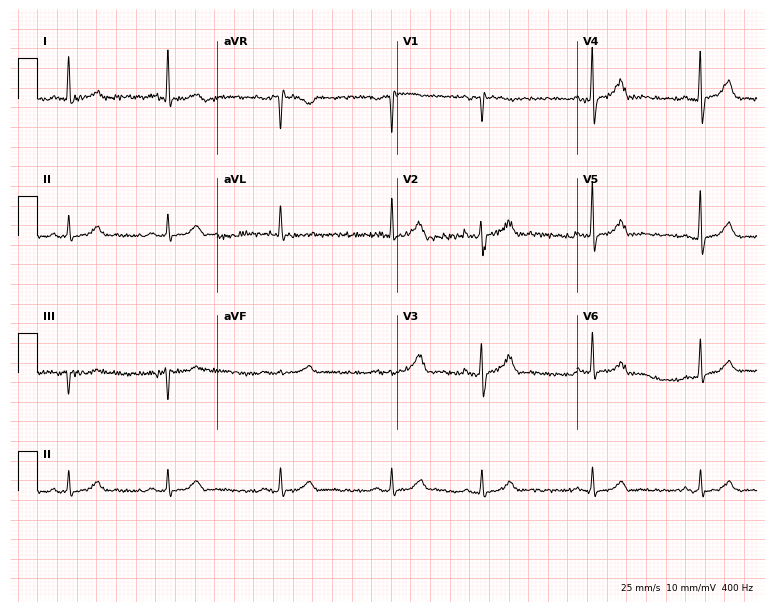
Electrocardiogram, a man, 84 years old. Of the six screened findings (first-degree AV block, right bundle branch block (RBBB), left bundle branch block (LBBB), sinus bradycardia, atrial fibrillation (AF), sinus tachycardia), none is recorded.